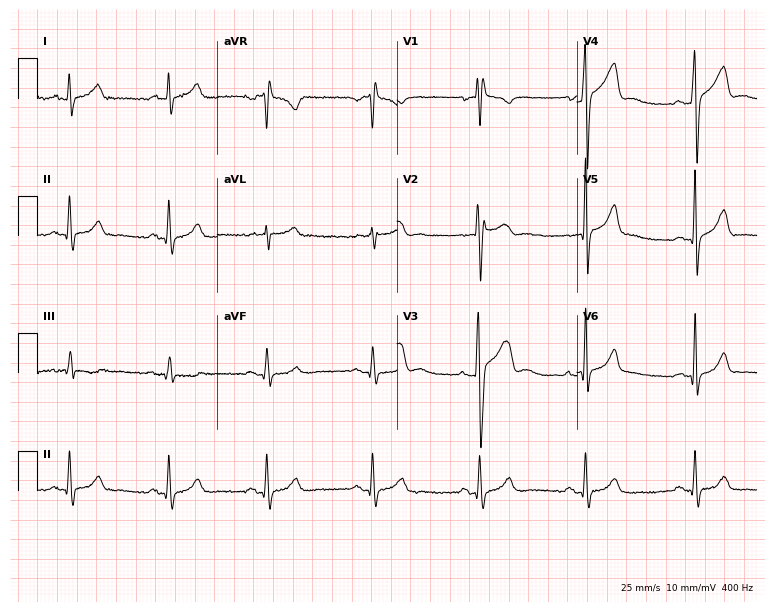
12-lead ECG from a male, 50 years old (7.3-second recording at 400 Hz). No first-degree AV block, right bundle branch block, left bundle branch block, sinus bradycardia, atrial fibrillation or sinus tachycardia recorded for this tracing.